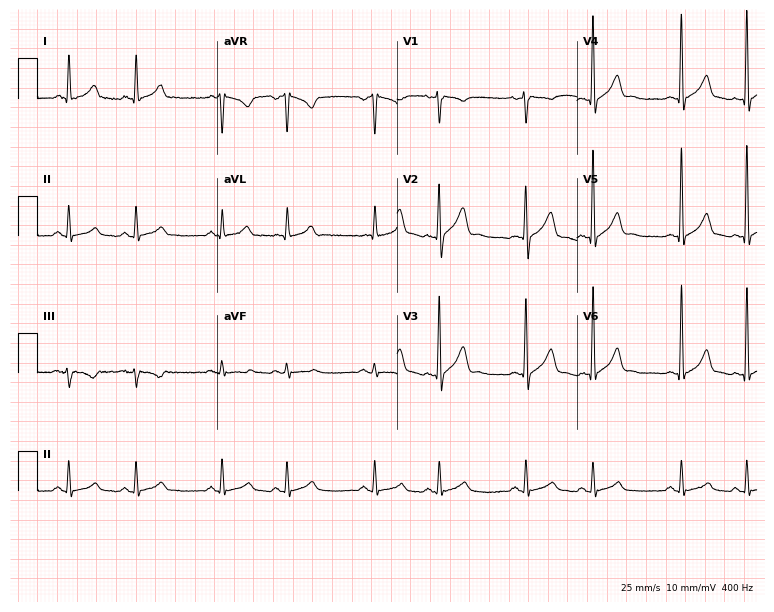
Standard 12-lead ECG recorded from a 59-year-old male patient. None of these six findings is recorded: first-degree AV block, right bundle branch block (RBBB), left bundle branch block (LBBB), sinus bradycardia, atrial fibrillation (AF), sinus tachycardia. Other findings, if any, are not listed.